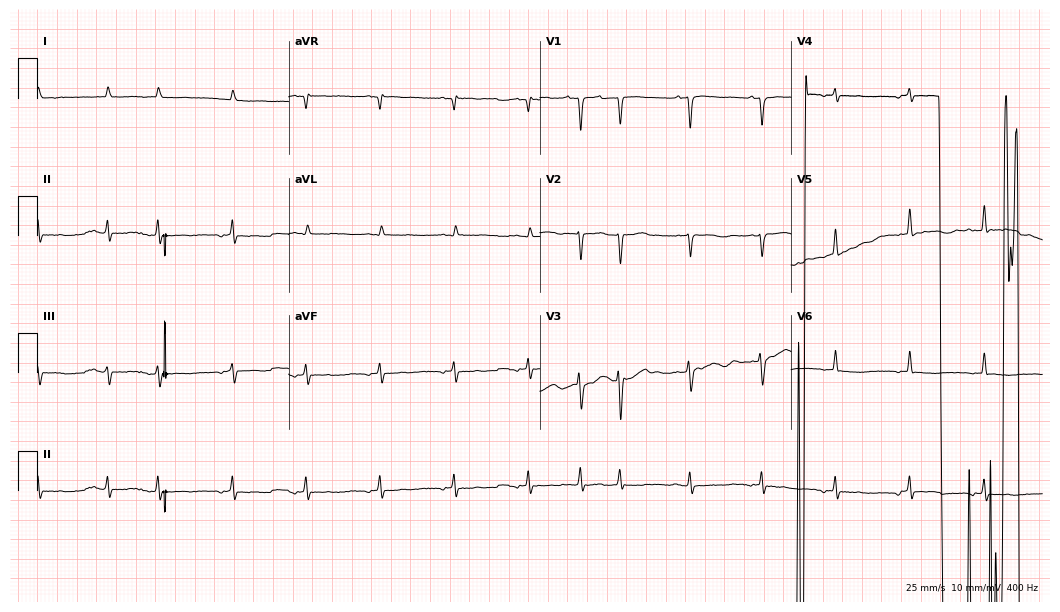
ECG — an 85-year-old man. Screened for six findings — first-degree AV block, right bundle branch block (RBBB), left bundle branch block (LBBB), sinus bradycardia, atrial fibrillation (AF), sinus tachycardia — none is recorded.